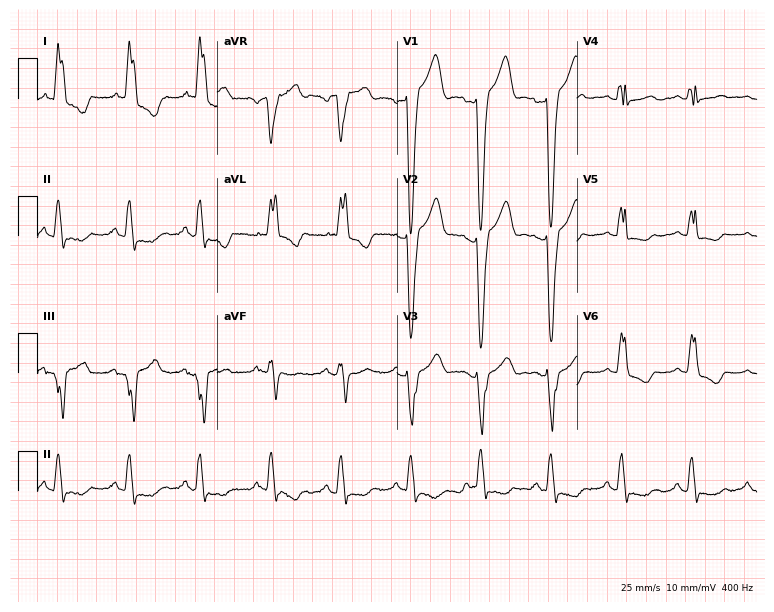
Electrocardiogram (7.3-second recording at 400 Hz), a female patient, 71 years old. Interpretation includes left bundle branch block (LBBB).